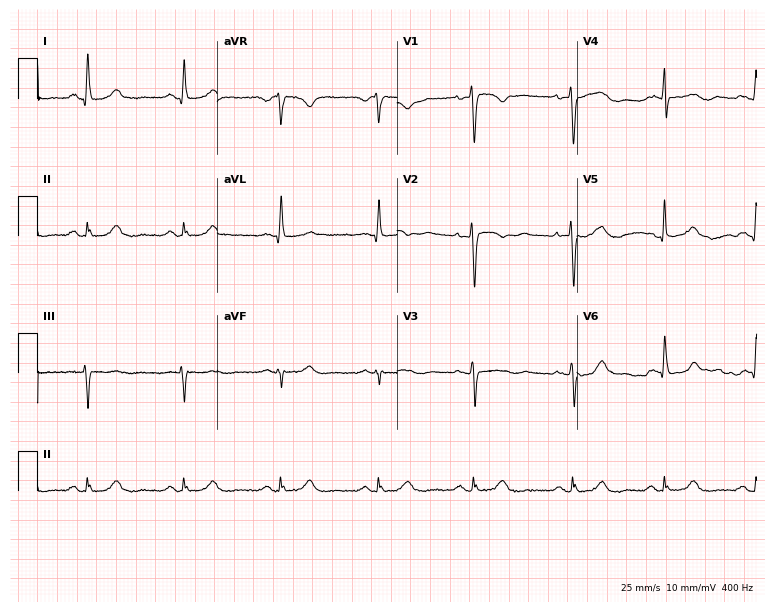
ECG — a 52-year-old woman. Screened for six findings — first-degree AV block, right bundle branch block (RBBB), left bundle branch block (LBBB), sinus bradycardia, atrial fibrillation (AF), sinus tachycardia — none is recorded. Findings outside these six are not listed.